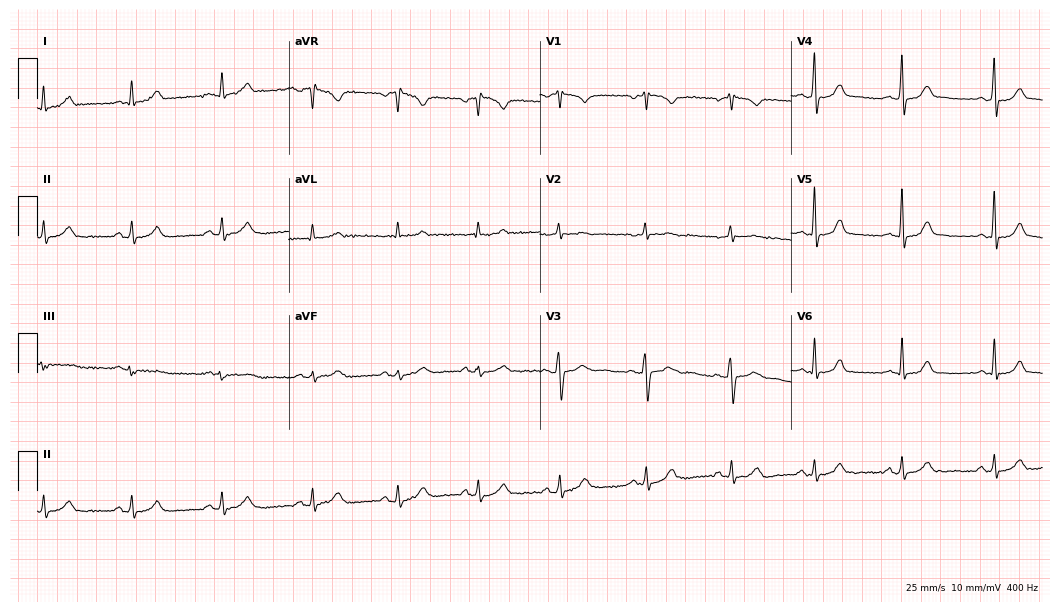
Resting 12-lead electrocardiogram (10.2-second recording at 400 Hz). Patient: a 39-year-old female. Read as a normal ECG.